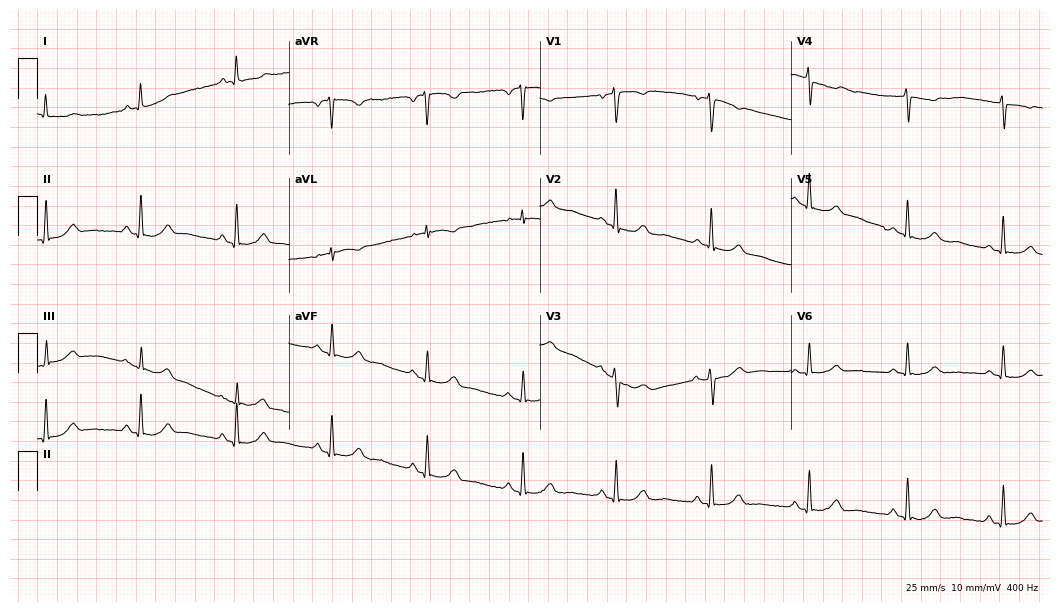
12-lead ECG from a woman, 64 years old. Recorded interpretation: within normal limits.